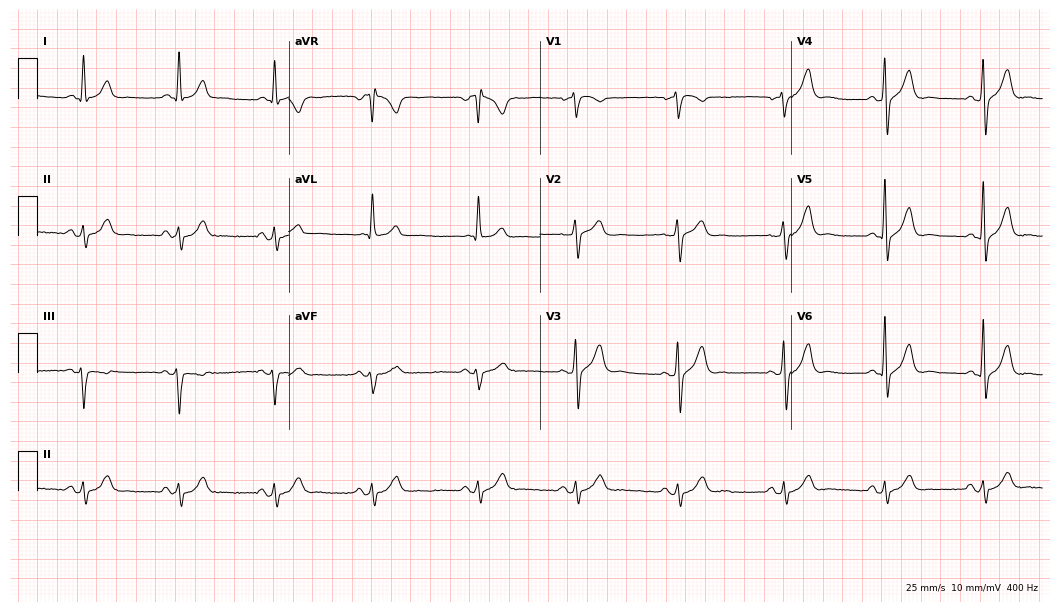
Standard 12-lead ECG recorded from a man, 54 years old (10.2-second recording at 400 Hz). None of these six findings is recorded: first-degree AV block, right bundle branch block, left bundle branch block, sinus bradycardia, atrial fibrillation, sinus tachycardia.